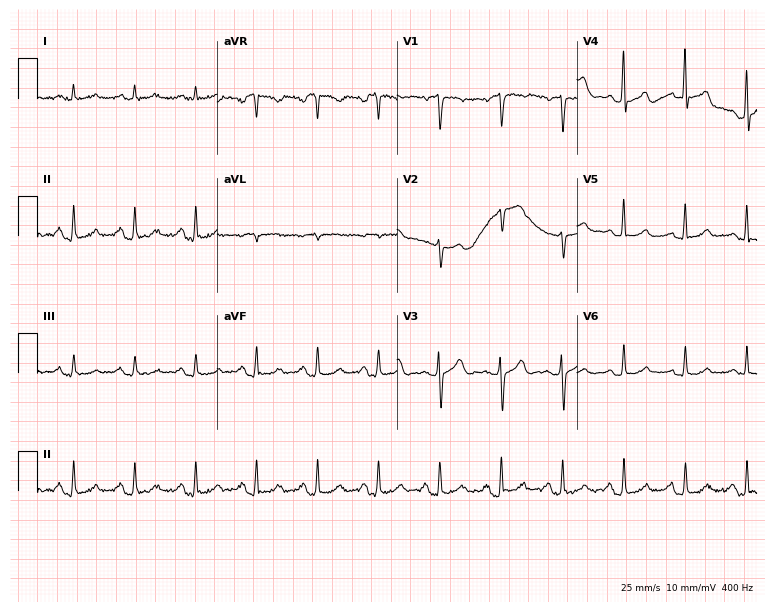
Standard 12-lead ECG recorded from a male, 73 years old. Read as a normal ECG.